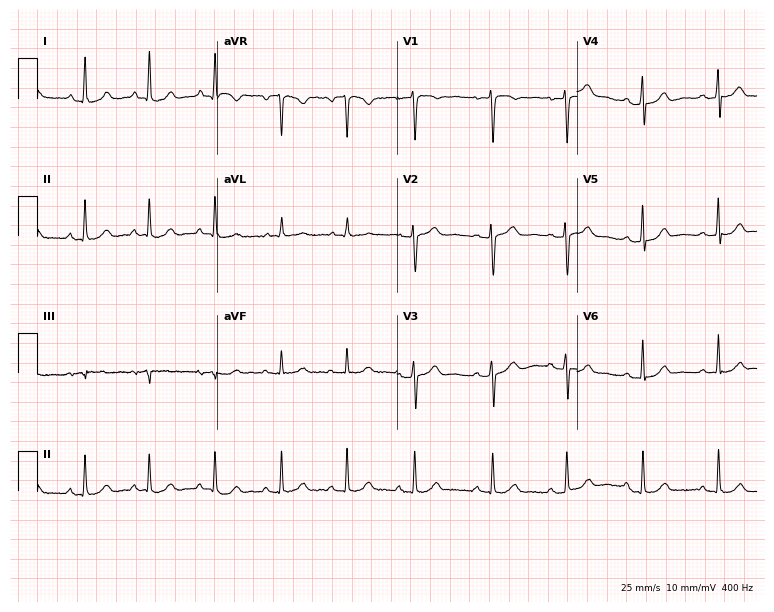
Standard 12-lead ECG recorded from a 23-year-old female patient. Read as a normal ECG.